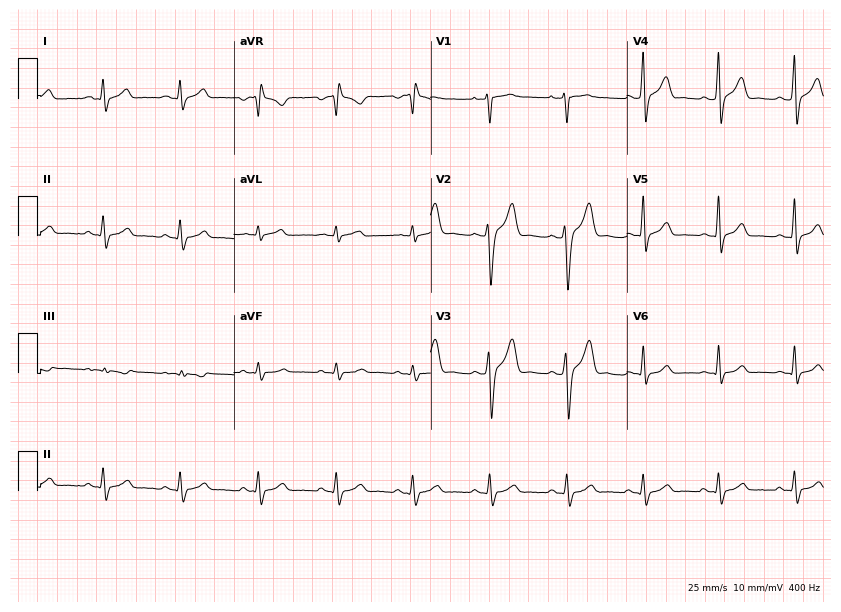
Standard 12-lead ECG recorded from a 32-year-old man (8-second recording at 400 Hz). None of these six findings is recorded: first-degree AV block, right bundle branch block, left bundle branch block, sinus bradycardia, atrial fibrillation, sinus tachycardia. Other findings, if any, are not listed.